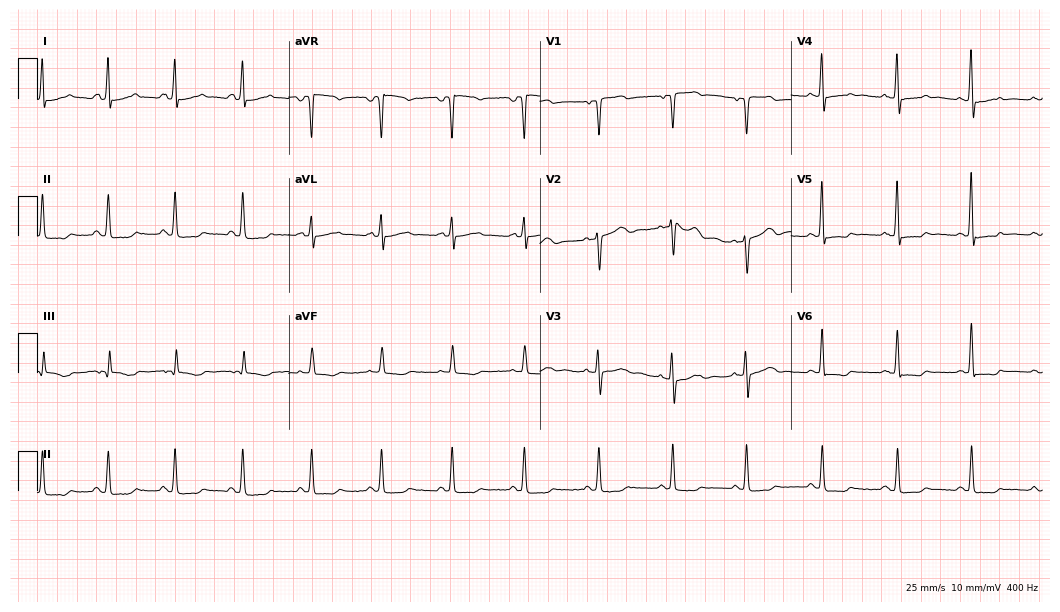
12-lead ECG from a 48-year-old female patient. No first-degree AV block, right bundle branch block, left bundle branch block, sinus bradycardia, atrial fibrillation or sinus tachycardia recorded for this tracing. Other findings, if any, are not listed.